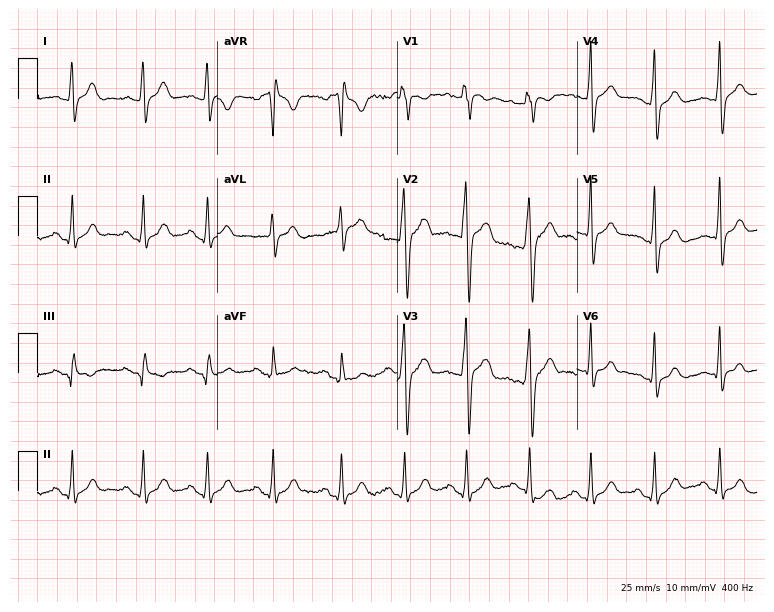
Resting 12-lead electrocardiogram. Patient: a 20-year-old man. None of these six findings is recorded: first-degree AV block, right bundle branch block (RBBB), left bundle branch block (LBBB), sinus bradycardia, atrial fibrillation (AF), sinus tachycardia.